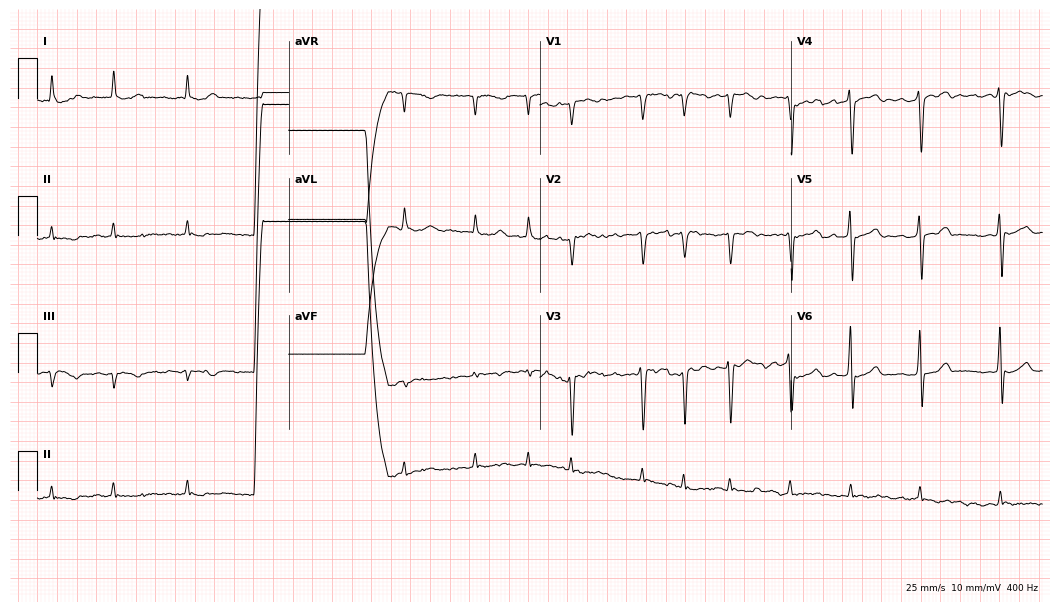
12-lead ECG from a 79-year-old male (10.2-second recording at 400 Hz). Shows atrial fibrillation, sinus tachycardia (a sinus rate of 100 beats per minute or more).